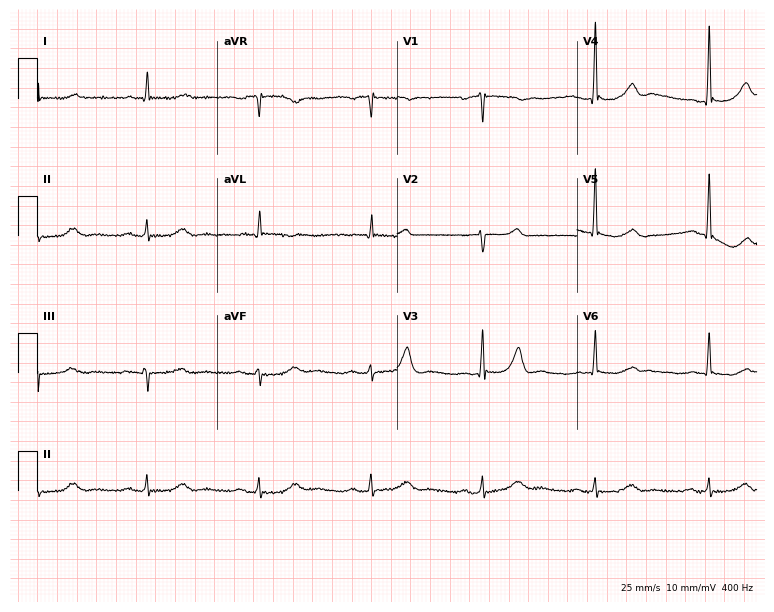
12-lead ECG from a 79-year-old woman (7.3-second recording at 400 Hz). Recorded interpretation: within normal limits.